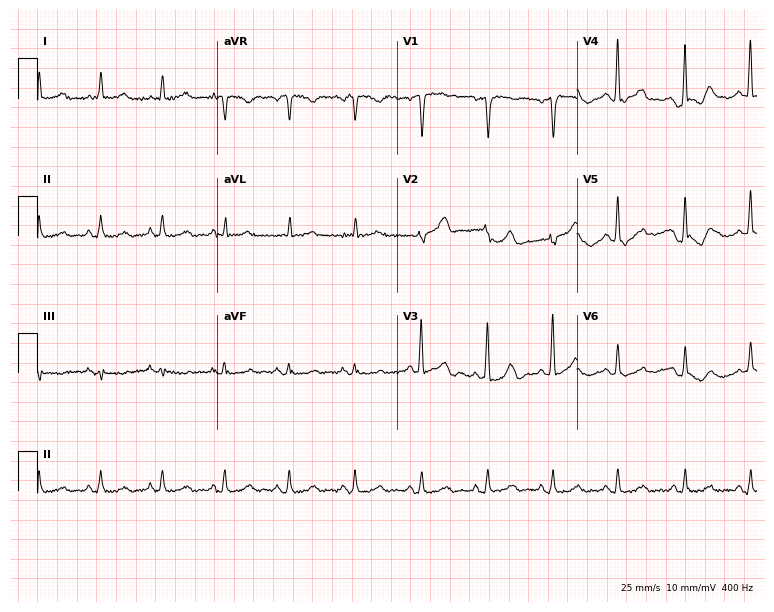
Electrocardiogram (7.3-second recording at 400 Hz), a male, 64 years old. Overall reading on record: normal ECG.